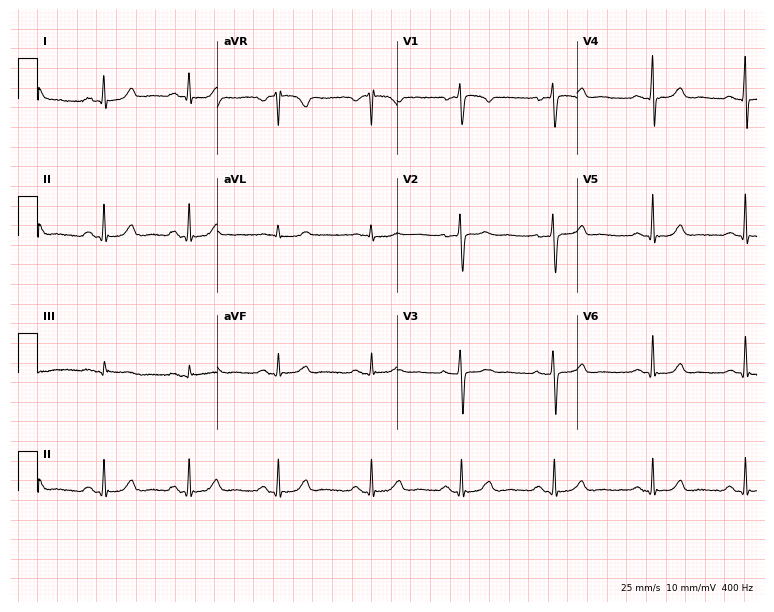
12-lead ECG from a 44-year-old woman. No first-degree AV block, right bundle branch block (RBBB), left bundle branch block (LBBB), sinus bradycardia, atrial fibrillation (AF) or sinus tachycardia recorded for this tracing.